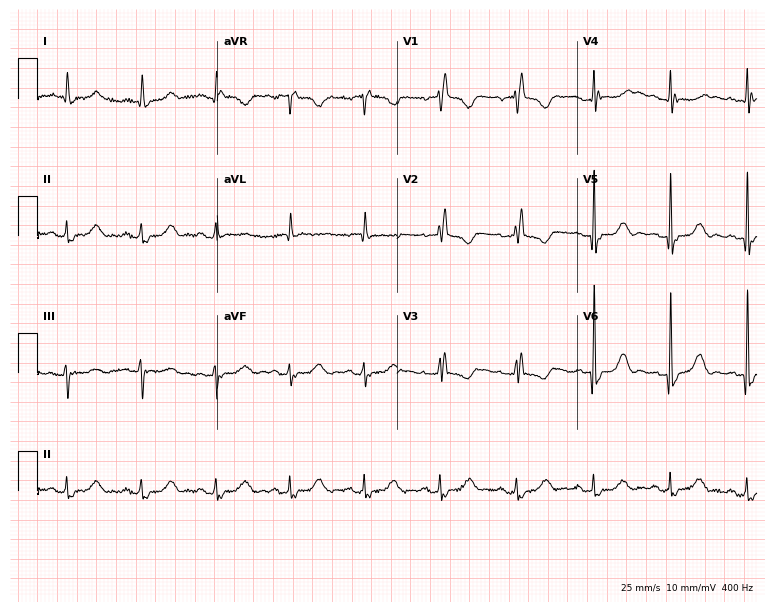
ECG (7.3-second recording at 400 Hz) — a female, 69 years old. Findings include right bundle branch block.